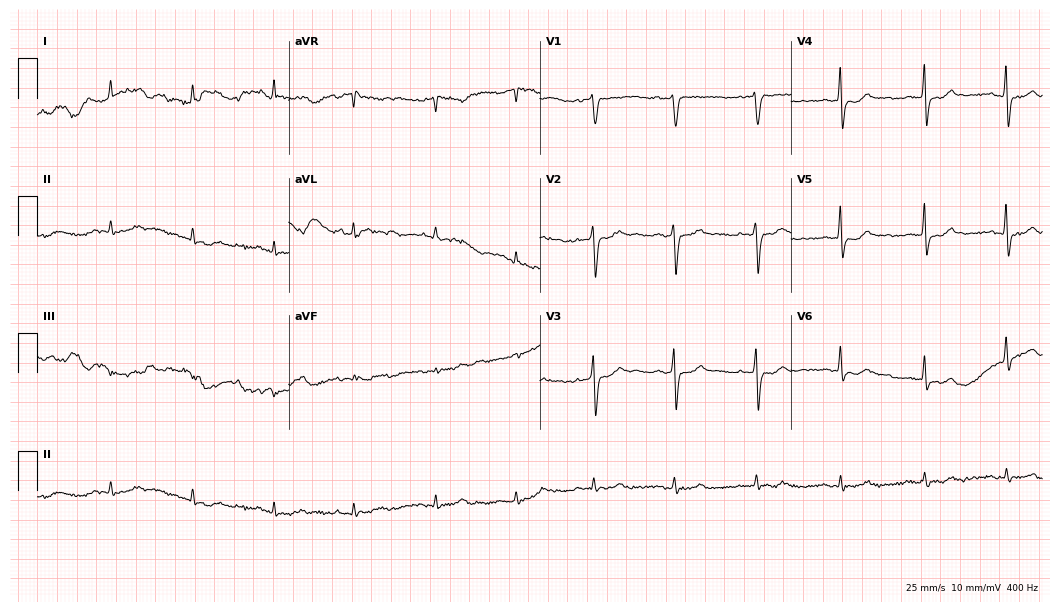
12-lead ECG (10.2-second recording at 400 Hz) from a man, 66 years old. Screened for six findings — first-degree AV block, right bundle branch block (RBBB), left bundle branch block (LBBB), sinus bradycardia, atrial fibrillation (AF), sinus tachycardia — none is recorded. Only these six findings were labelled.